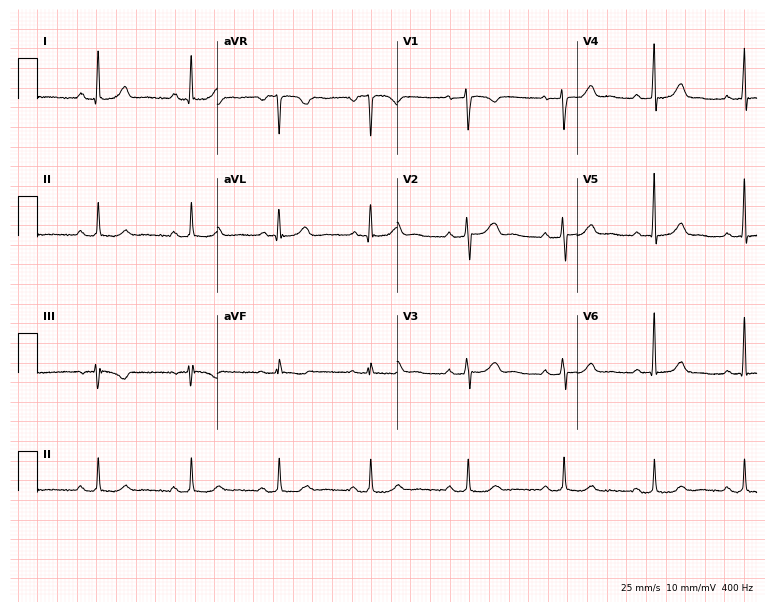
Standard 12-lead ECG recorded from a 40-year-old female patient (7.3-second recording at 400 Hz). None of these six findings is recorded: first-degree AV block, right bundle branch block, left bundle branch block, sinus bradycardia, atrial fibrillation, sinus tachycardia.